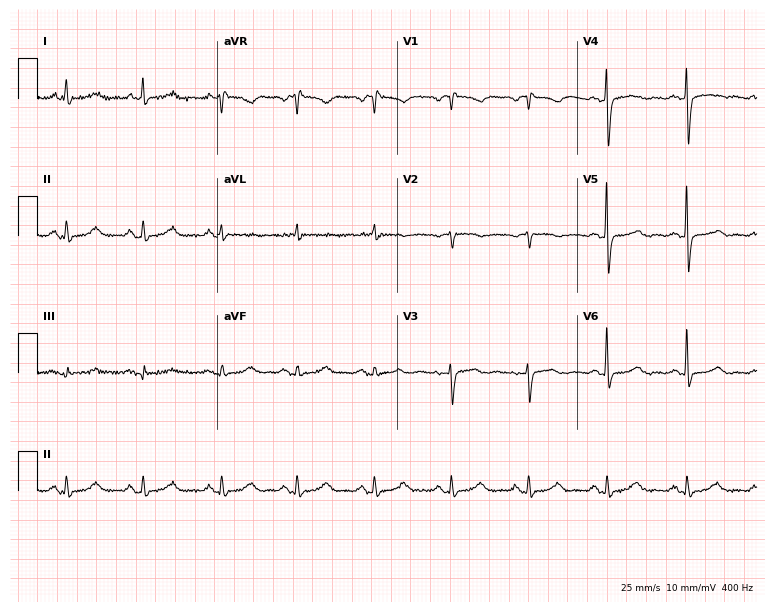
Standard 12-lead ECG recorded from a female, 67 years old. None of these six findings is recorded: first-degree AV block, right bundle branch block, left bundle branch block, sinus bradycardia, atrial fibrillation, sinus tachycardia. Findings outside these six are not listed.